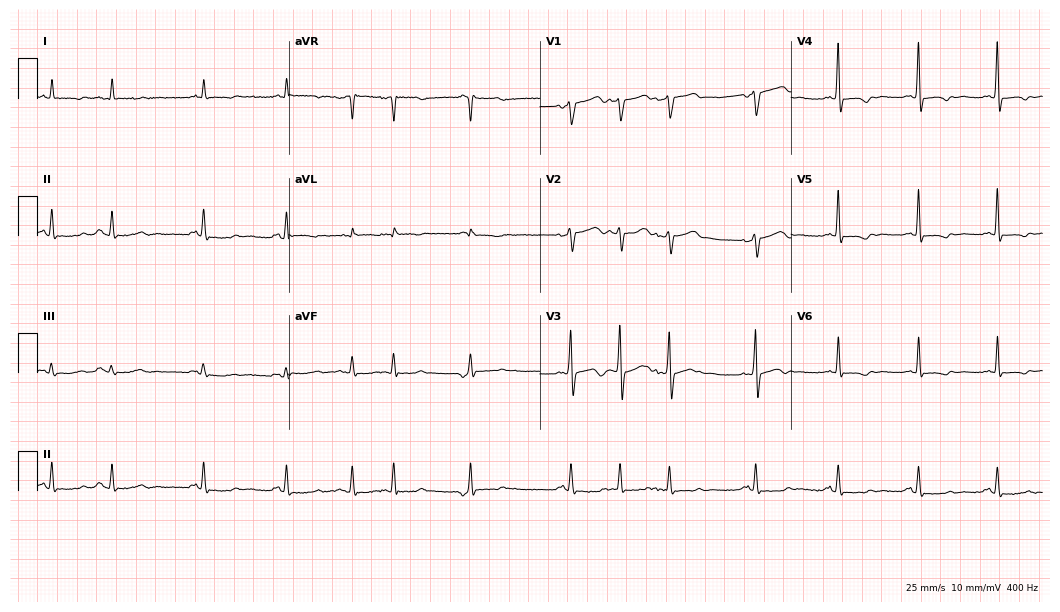
12-lead ECG (10.2-second recording at 400 Hz) from a male, 84 years old. Screened for six findings — first-degree AV block, right bundle branch block, left bundle branch block, sinus bradycardia, atrial fibrillation, sinus tachycardia — none is recorded.